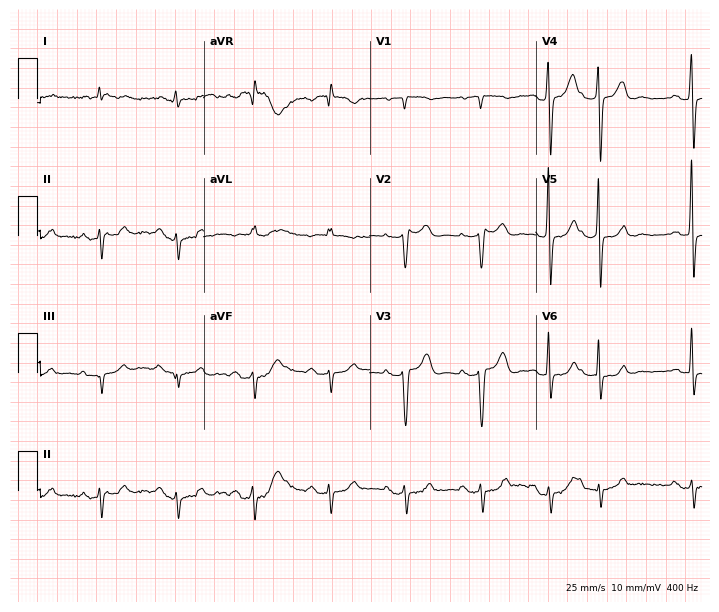
ECG — a 76-year-old woman. Screened for six findings — first-degree AV block, right bundle branch block, left bundle branch block, sinus bradycardia, atrial fibrillation, sinus tachycardia — none is recorded. Only these six findings were labelled.